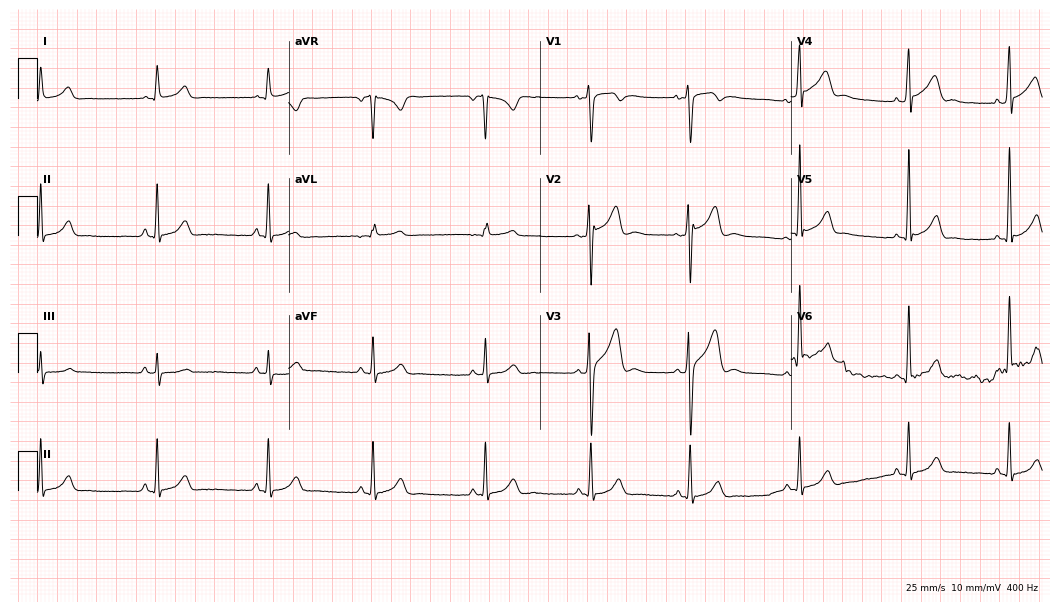
Electrocardiogram (10.2-second recording at 400 Hz), an 18-year-old male patient. Overall reading on record: normal ECG.